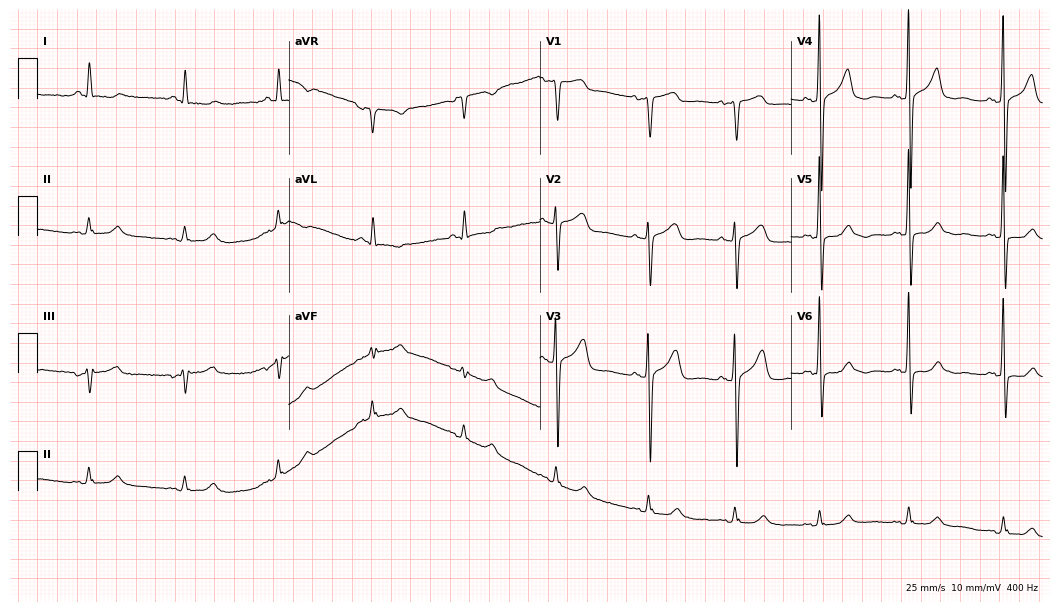
Electrocardiogram, a 75-year-old male patient. Overall reading on record: normal ECG.